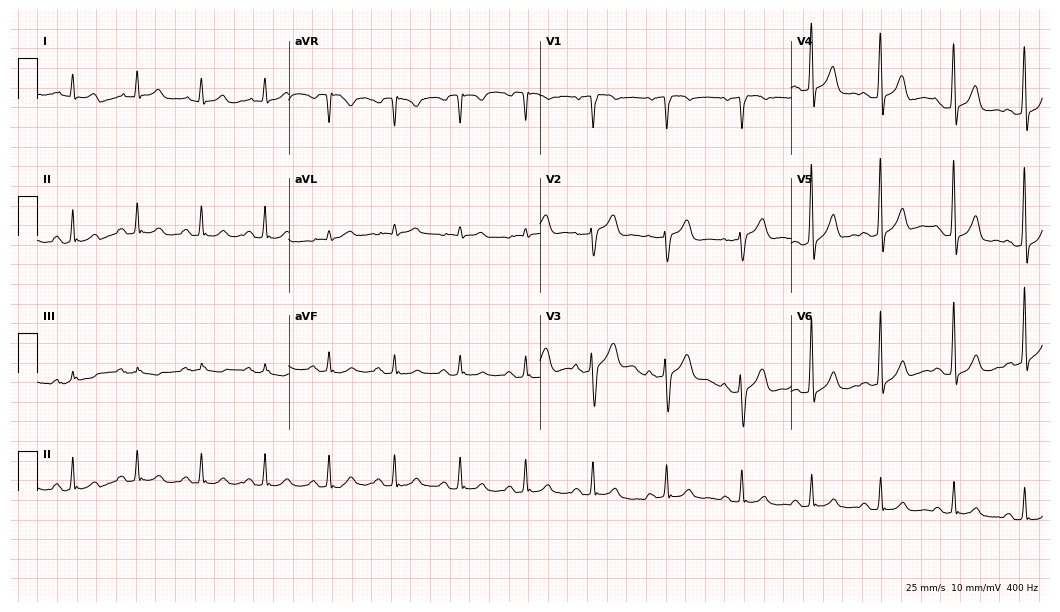
Resting 12-lead electrocardiogram. Patient: a male, 72 years old. Read as a normal ECG.